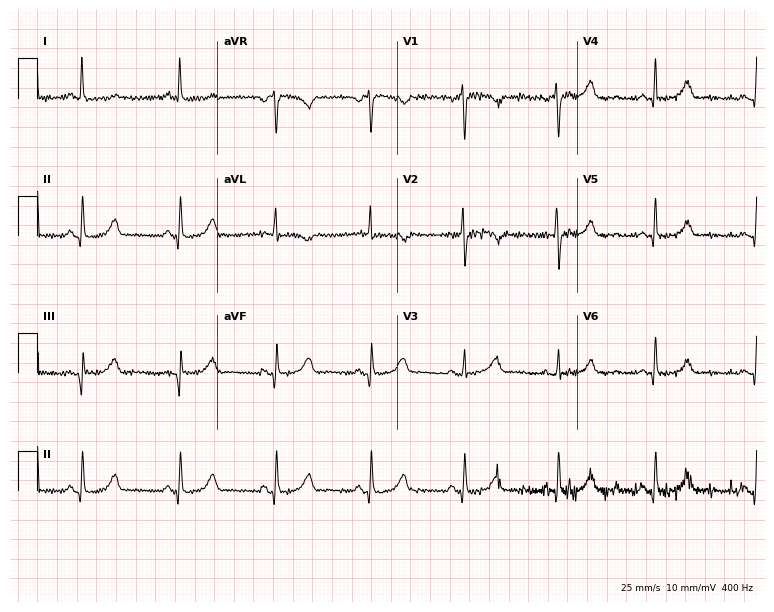
Standard 12-lead ECG recorded from a 23-year-old female patient (7.3-second recording at 400 Hz). Read as a normal ECG.